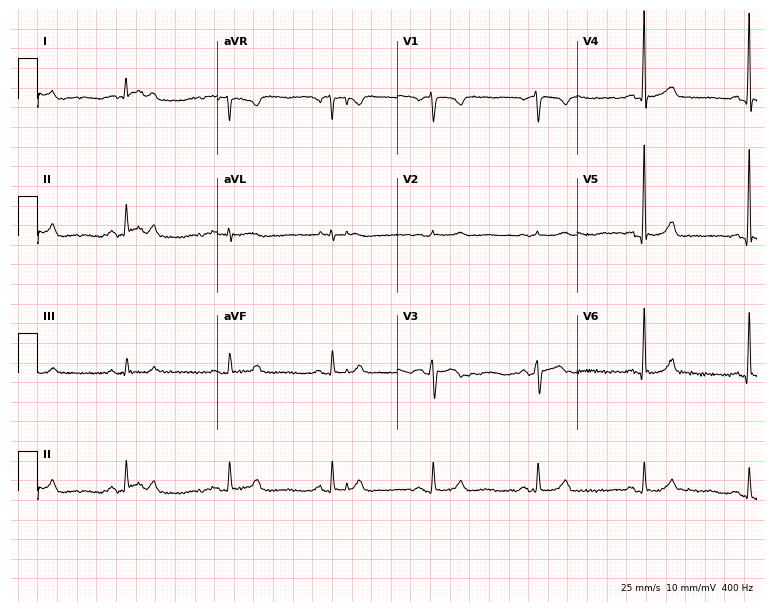
ECG (7.3-second recording at 400 Hz) — a man, 47 years old. Screened for six findings — first-degree AV block, right bundle branch block, left bundle branch block, sinus bradycardia, atrial fibrillation, sinus tachycardia — none is recorded.